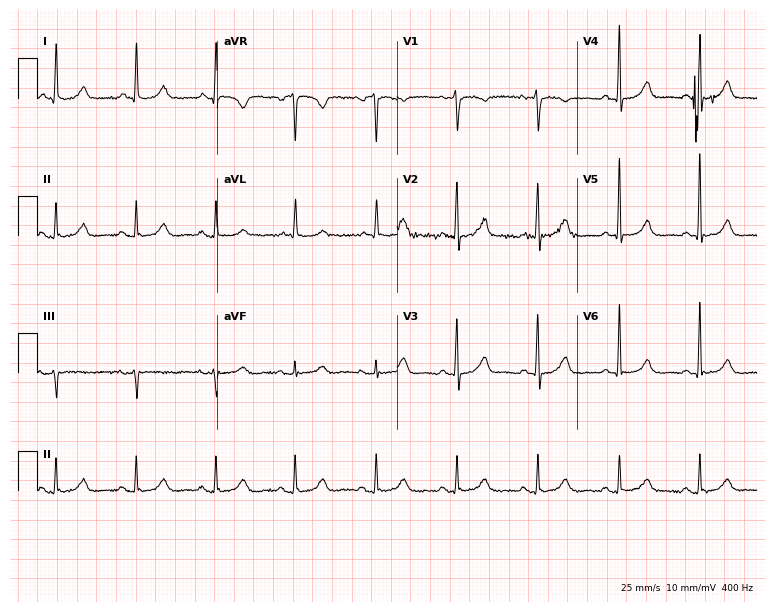
12-lead ECG (7.3-second recording at 400 Hz) from a female patient, 83 years old. Labelled as a normal ECG.